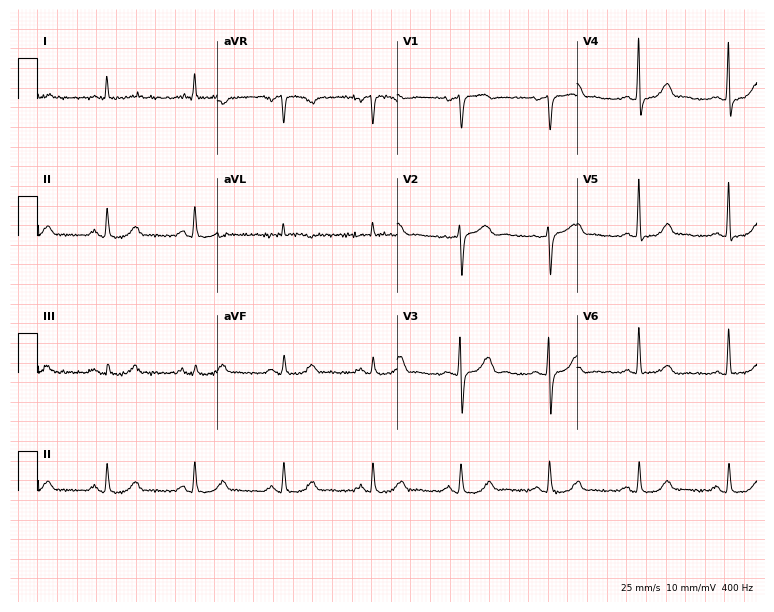
ECG — a female patient, 69 years old. Labelled as a normal ECG.